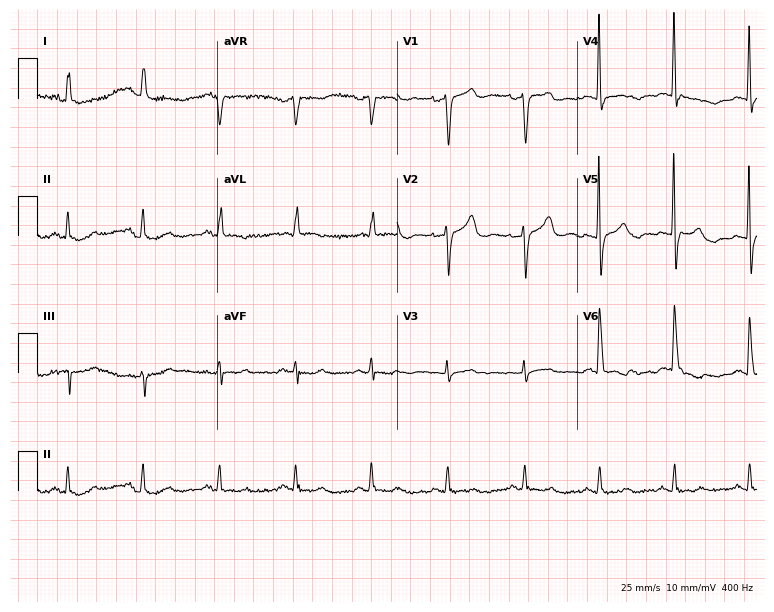
Electrocardiogram (7.3-second recording at 400 Hz), a woman, 77 years old. Of the six screened findings (first-degree AV block, right bundle branch block, left bundle branch block, sinus bradycardia, atrial fibrillation, sinus tachycardia), none is recorded.